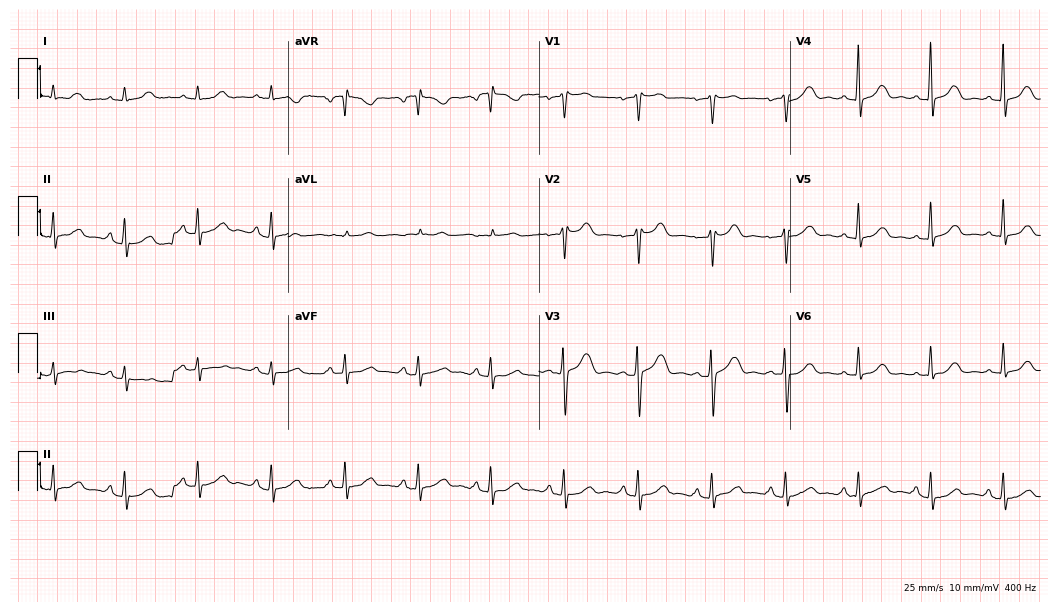
ECG — a woman, 62 years old. Screened for six findings — first-degree AV block, right bundle branch block (RBBB), left bundle branch block (LBBB), sinus bradycardia, atrial fibrillation (AF), sinus tachycardia — none is recorded. Findings outside these six are not listed.